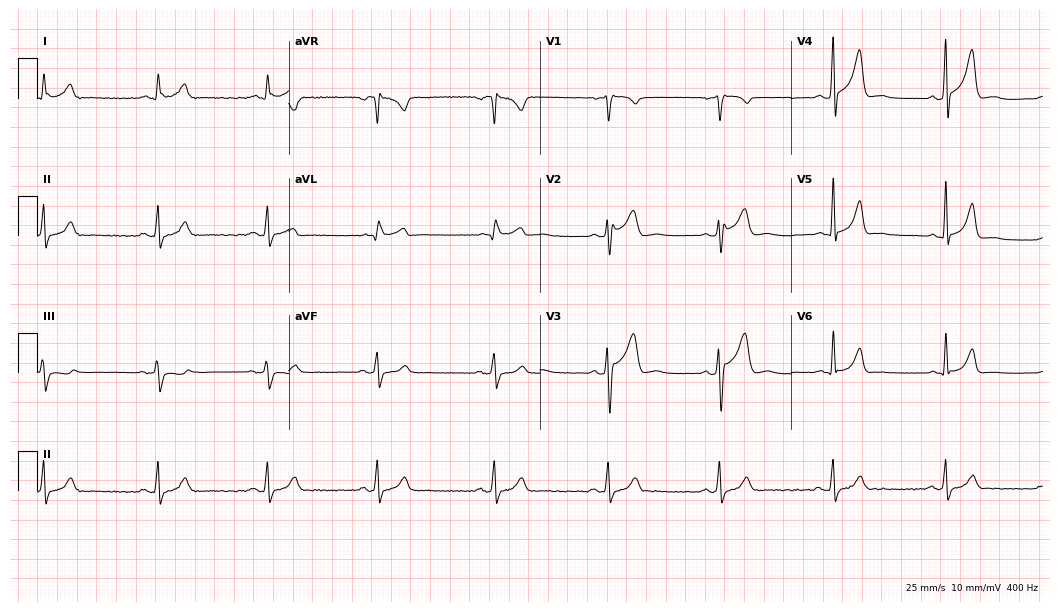
Electrocardiogram, a male patient, 48 years old. Overall reading on record: normal ECG.